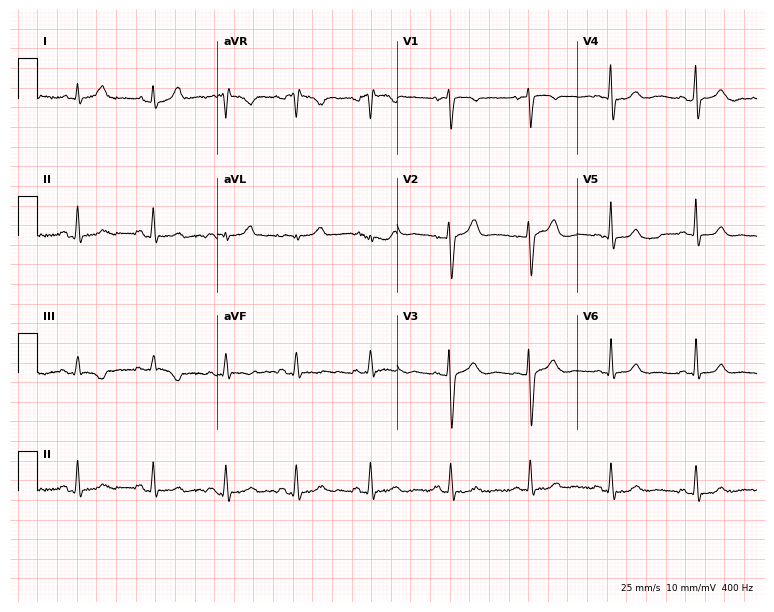
Resting 12-lead electrocardiogram. Patient: a 39-year-old woman. None of these six findings is recorded: first-degree AV block, right bundle branch block (RBBB), left bundle branch block (LBBB), sinus bradycardia, atrial fibrillation (AF), sinus tachycardia. Other findings, if any, are not listed.